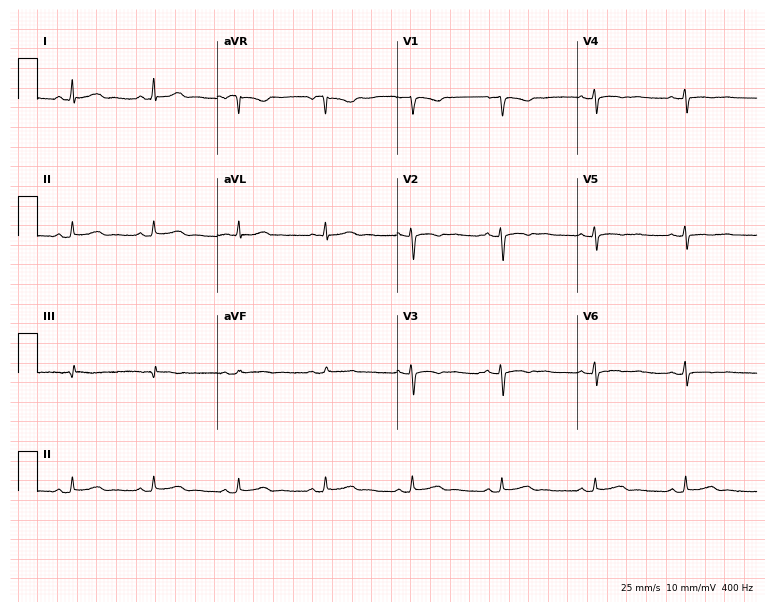
Electrocardiogram, a woman, 36 years old. Of the six screened findings (first-degree AV block, right bundle branch block (RBBB), left bundle branch block (LBBB), sinus bradycardia, atrial fibrillation (AF), sinus tachycardia), none is recorded.